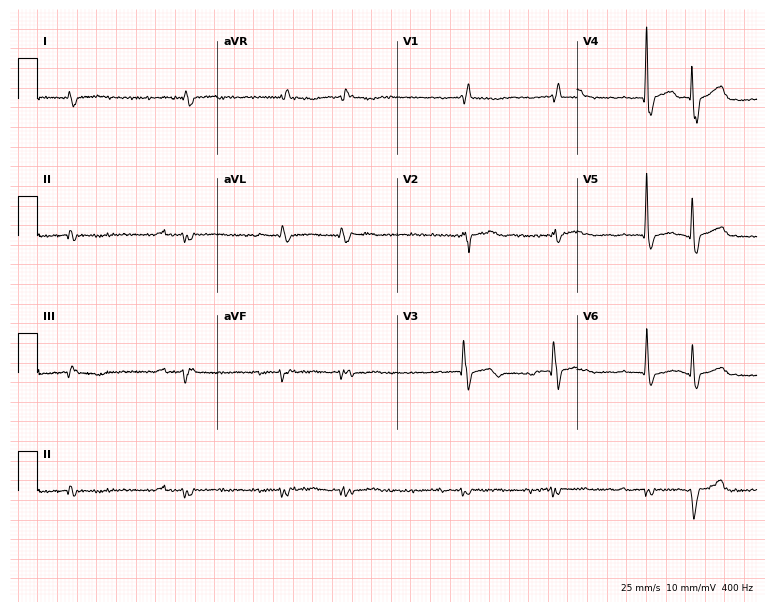
Standard 12-lead ECG recorded from a 73-year-old man. None of these six findings is recorded: first-degree AV block, right bundle branch block, left bundle branch block, sinus bradycardia, atrial fibrillation, sinus tachycardia.